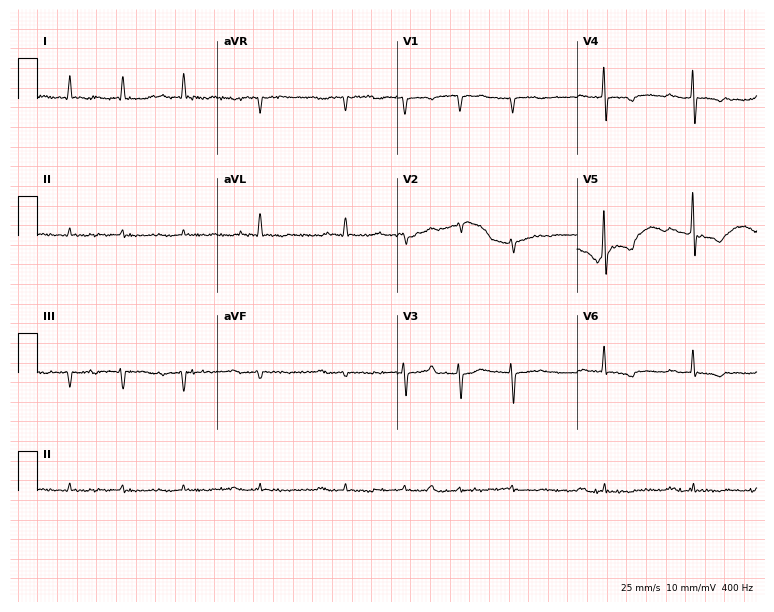
Resting 12-lead electrocardiogram. Patient: a 75-year-old man. The tracing shows atrial fibrillation.